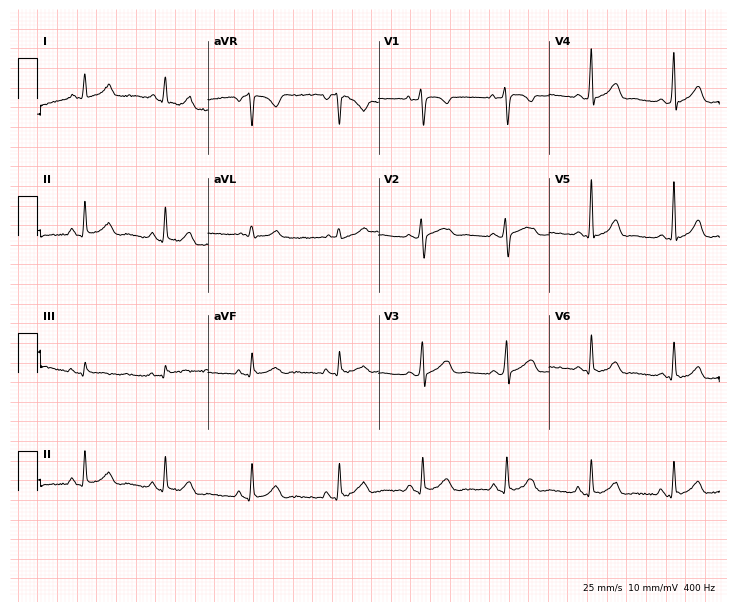
ECG — a woman, 30 years old. Screened for six findings — first-degree AV block, right bundle branch block, left bundle branch block, sinus bradycardia, atrial fibrillation, sinus tachycardia — none is recorded. Only these six findings were labelled.